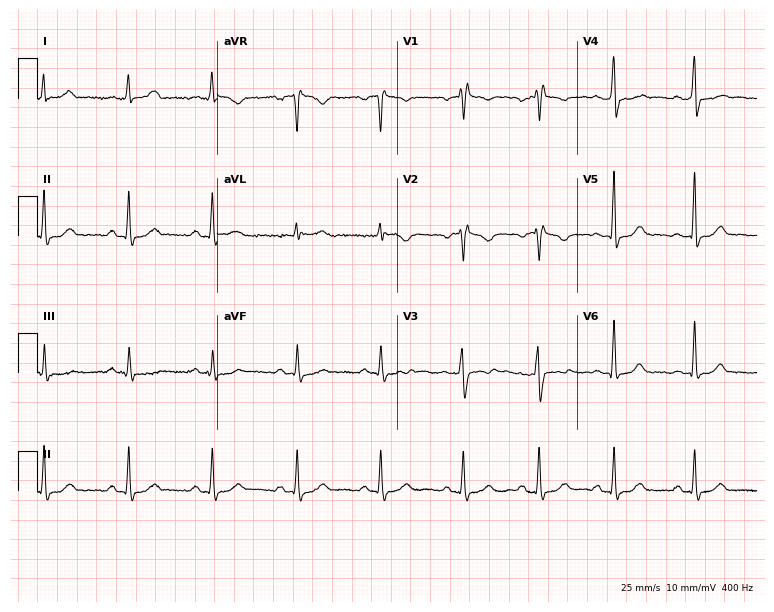
ECG (7.3-second recording at 400 Hz) — a 28-year-old woman. Labelled as a normal ECG.